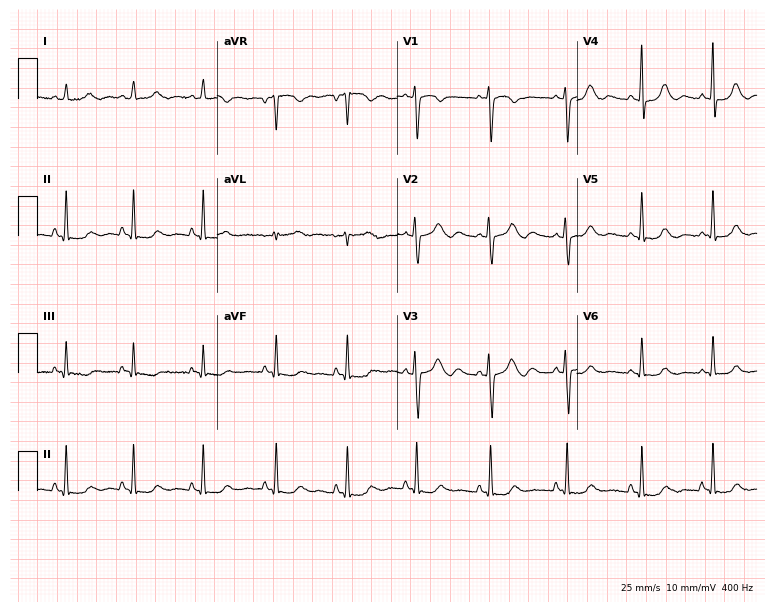
ECG (7.3-second recording at 400 Hz) — a 28-year-old woman. Screened for six findings — first-degree AV block, right bundle branch block, left bundle branch block, sinus bradycardia, atrial fibrillation, sinus tachycardia — none is recorded. Only these six findings were labelled.